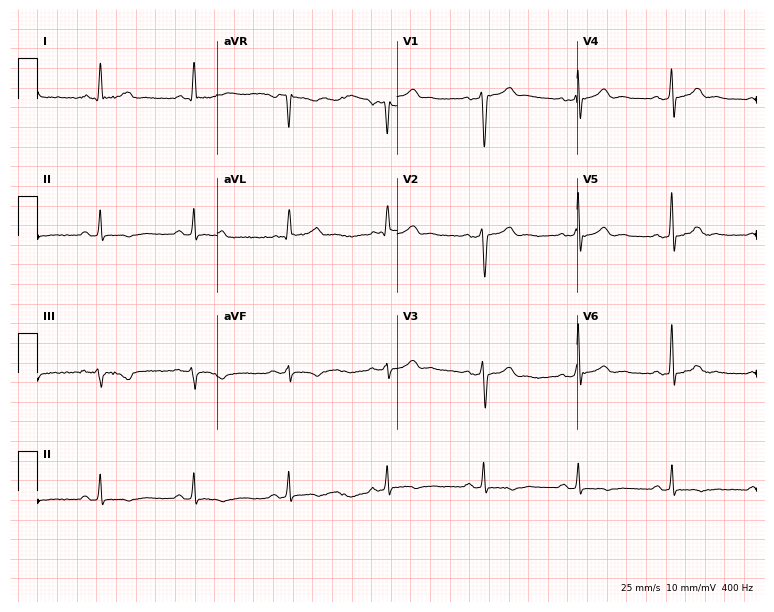
Electrocardiogram (7.3-second recording at 400 Hz), a 47-year-old man. Of the six screened findings (first-degree AV block, right bundle branch block, left bundle branch block, sinus bradycardia, atrial fibrillation, sinus tachycardia), none is recorded.